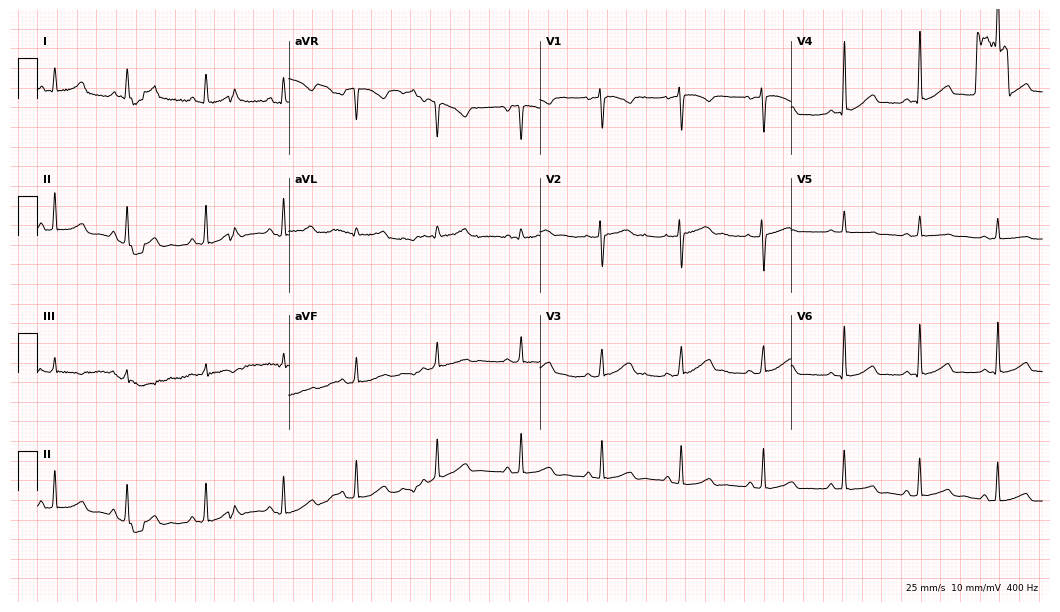
Electrocardiogram (10.2-second recording at 400 Hz), a woman, 33 years old. Of the six screened findings (first-degree AV block, right bundle branch block, left bundle branch block, sinus bradycardia, atrial fibrillation, sinus tachycardia), none is recorded.